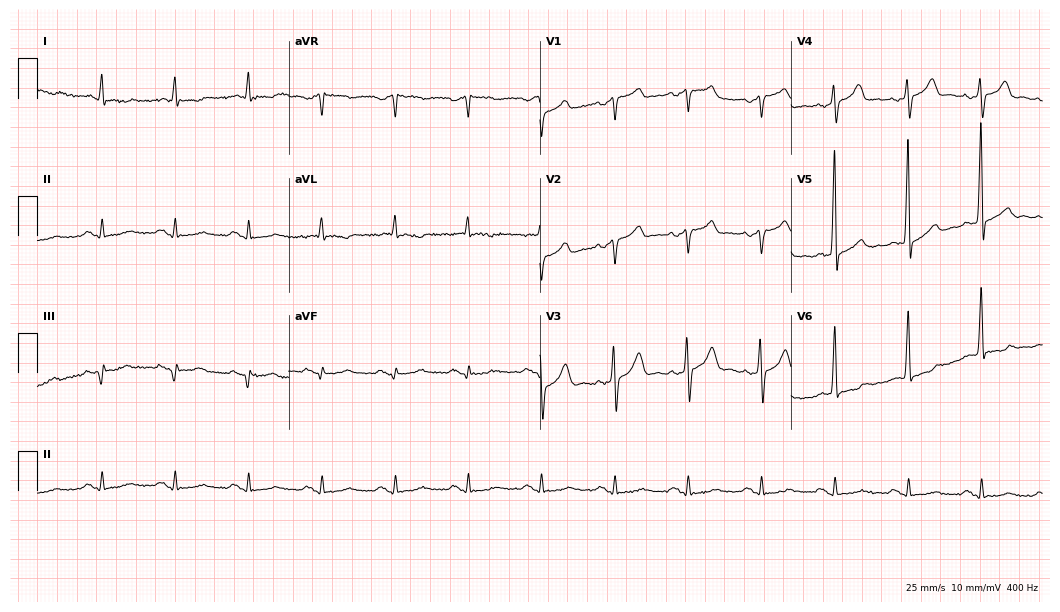
ECG — a male, 67 years old. Labelled as a normal ECG.